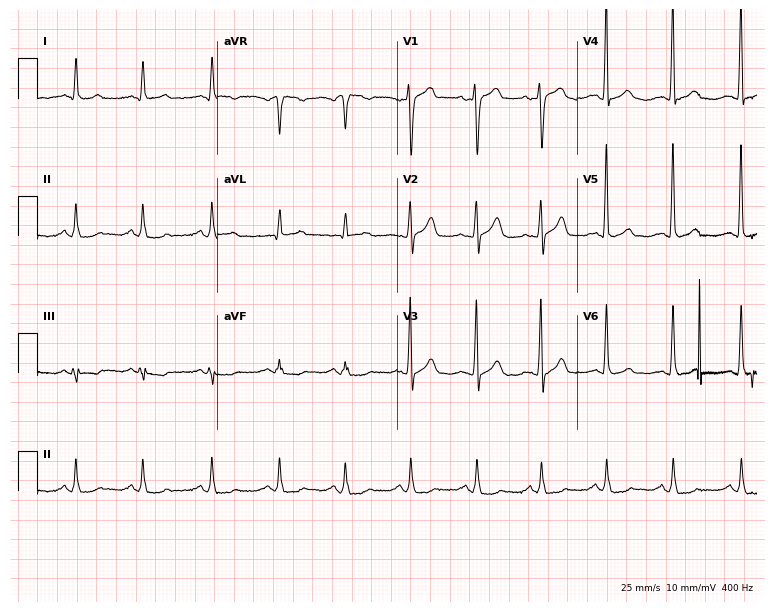
12-lead ECG from a woman, 55 years old (7.3-second recording at 400 Hz). Recorded interpretation: within normal limits.